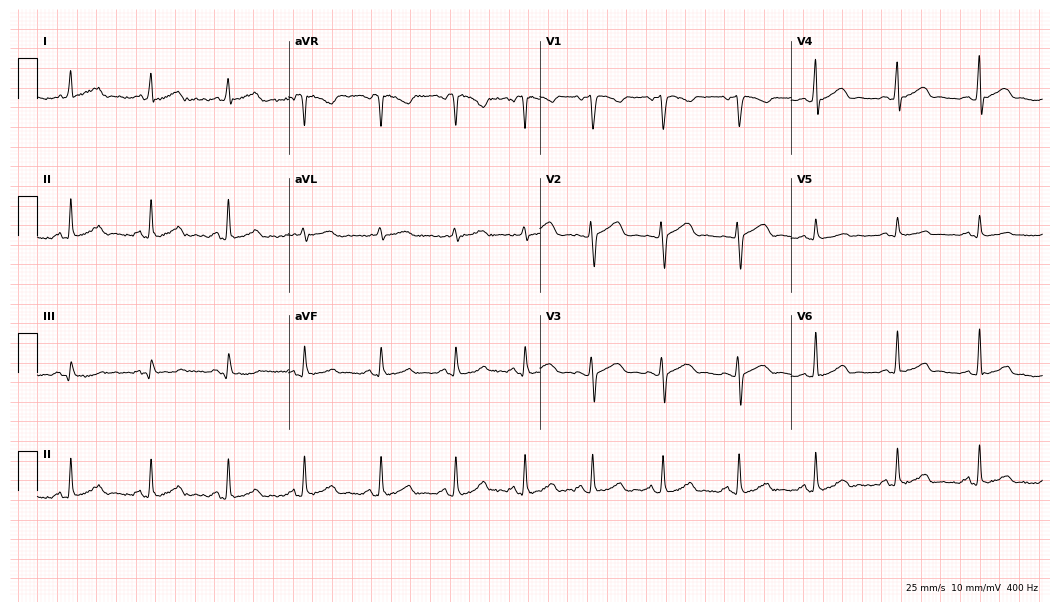
Electrocardiogram (10.2-second recording at 400 Hz), a 29-year-old woman. Of the six screened findings (first-degree AV block, right bundle branch block (RBBB), left bundle branch block (LBBB), sinus bradycardia, atrial fibrillation (AF), sinus tachycardia), none is recorded. Findings outside these six are not listed.